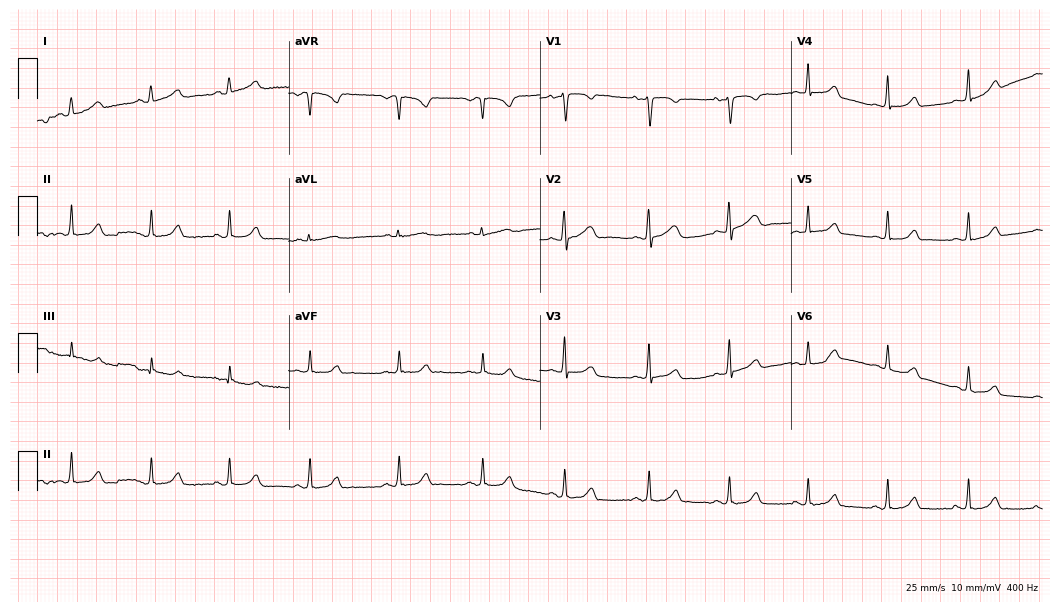
12-lead ECG from a female, 27 years old. Screened for six findings — first-degree AV block, right bundle branch block, left bundle branch block, sinus bradycardia, atrial fibrillation, sinus tachycardia — none is recorded. Other findings, if any, are not listed.